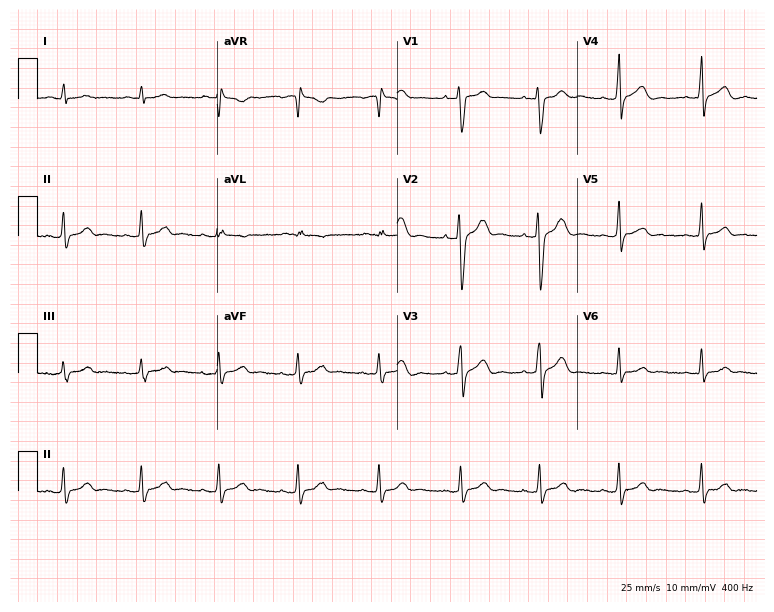
Electrocardiogram, a 22-year-old man. Overall reading on record: normal ECG.